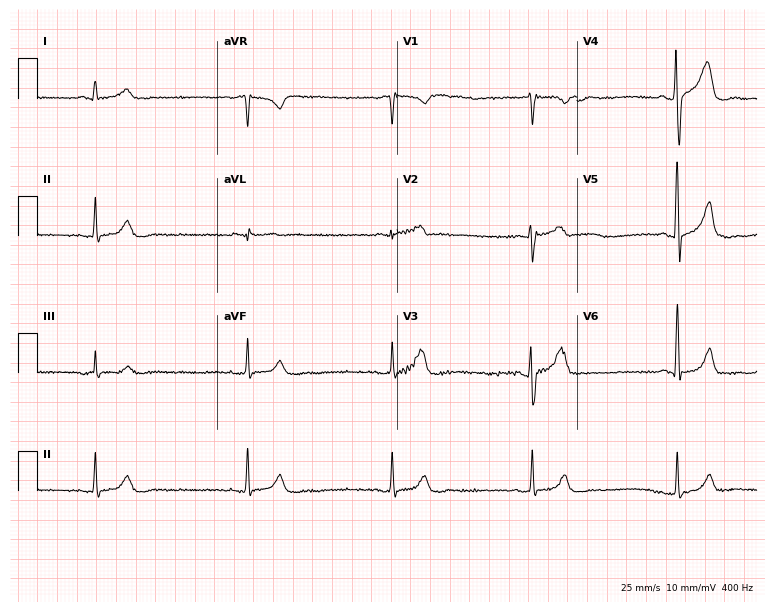
ECG (7.3-second recording at 400 Hz) — a male, 50 years old. Findings include sinus bradycardia (a sinus rate of 50 beats per minute or less).